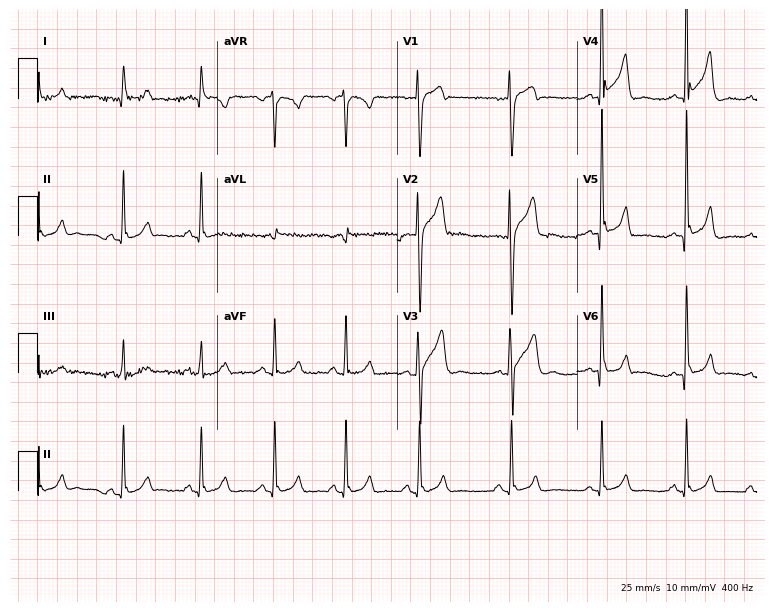
12-lead ECG from a 52-year-old male patient. No first-degree AV block, right bundle branch block (RBBB), left bundle branch block (LBBB), sinus bradycardia, atrial fibrillation (AF) or sinus tachycardia recorded for this tracing. Findings outside these six are not listed.